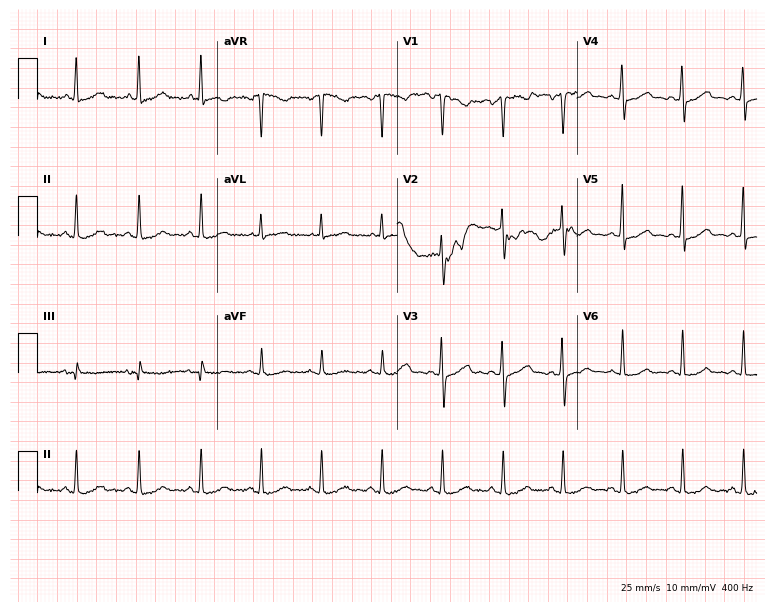
Electrocardiogram, a 39-year-old female. Overall reading on record: normal ECG.